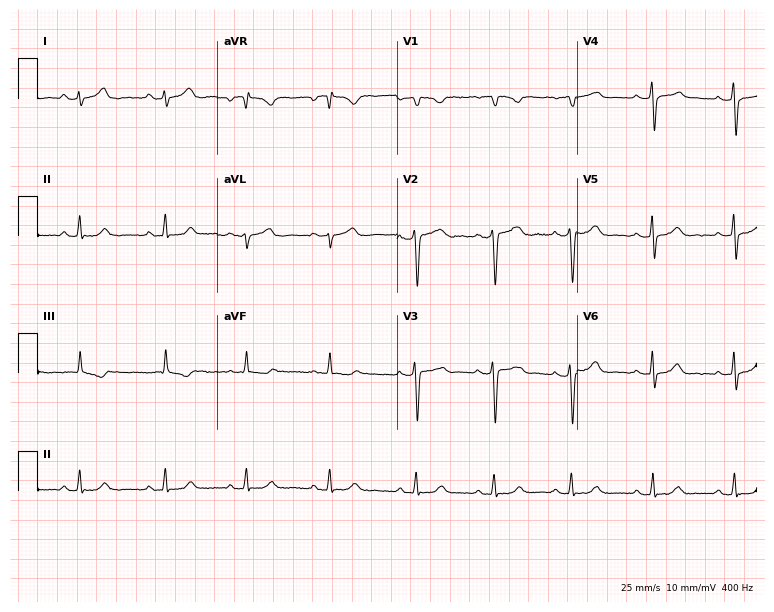
Standard 12-lead ECG recorded from a female, 20 years old (7.3-second recording at 400 Hz). None of these six findings is recorded: first-degree AV block, right bundle branch block, left bundle branch block, sinus bradycardia, atrial fibrillation, sinus tachycardia.